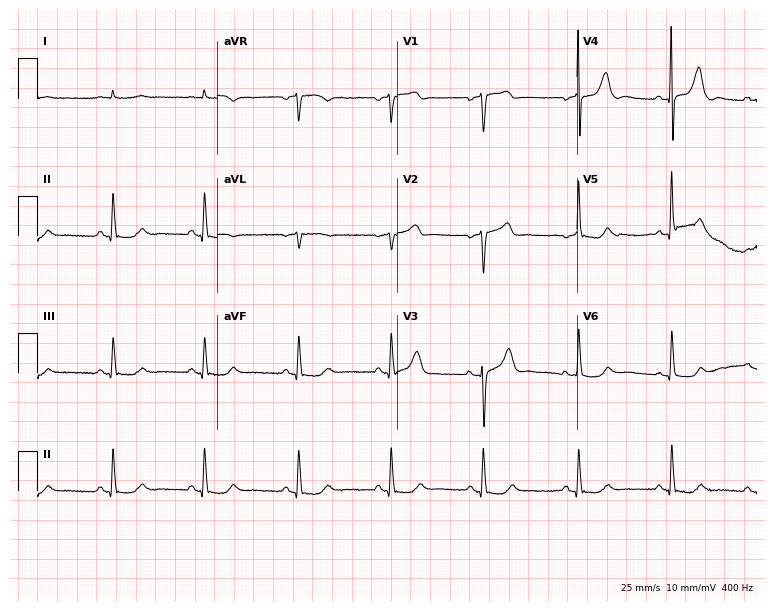
Resting 12-lead electrocardiogram. Patient: a female, 85 years old. Read as a normal ECG.